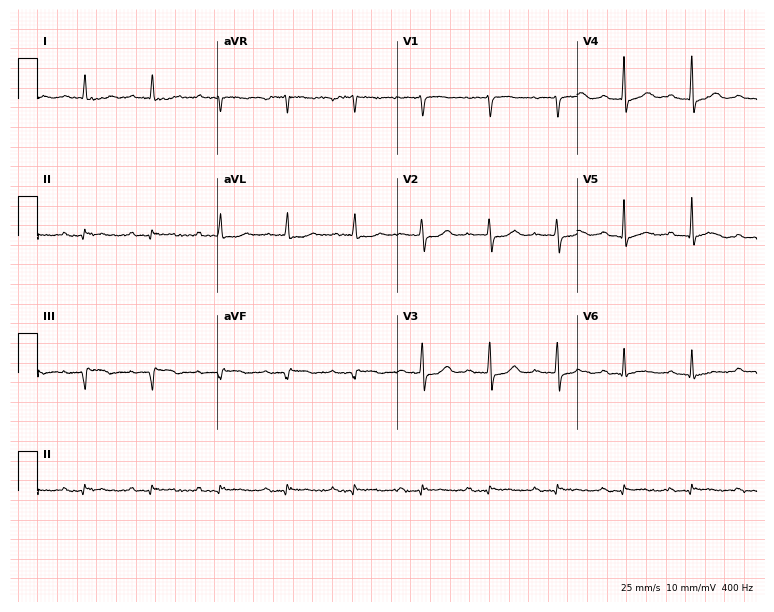
12-lead ECG from a 58-year-old female. Findings include first-degree AV block.